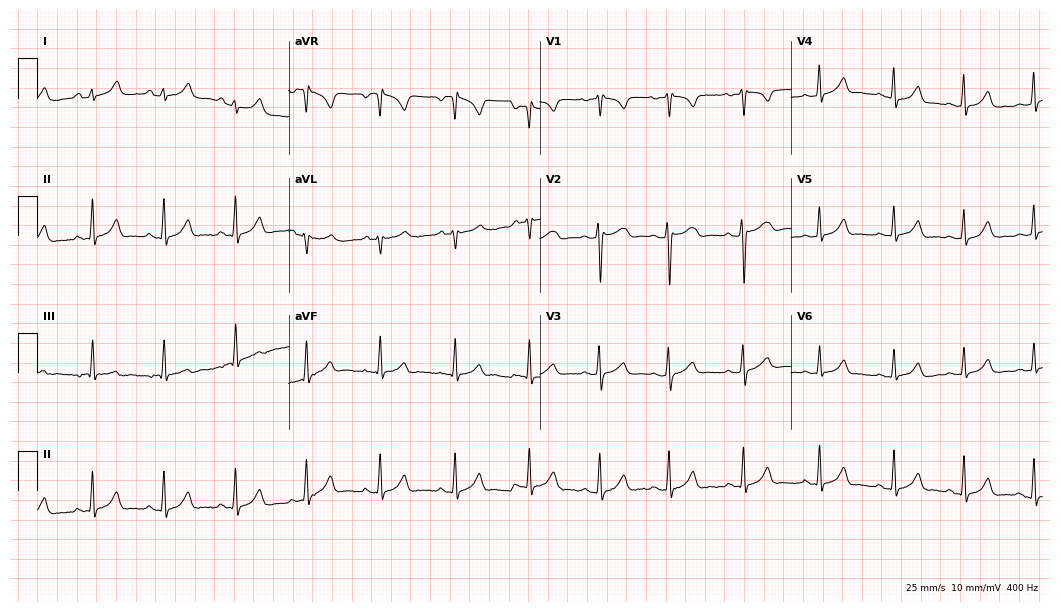
Electrocardiogram, a 27-year-old woman. Overall reading on record: normal ECG.